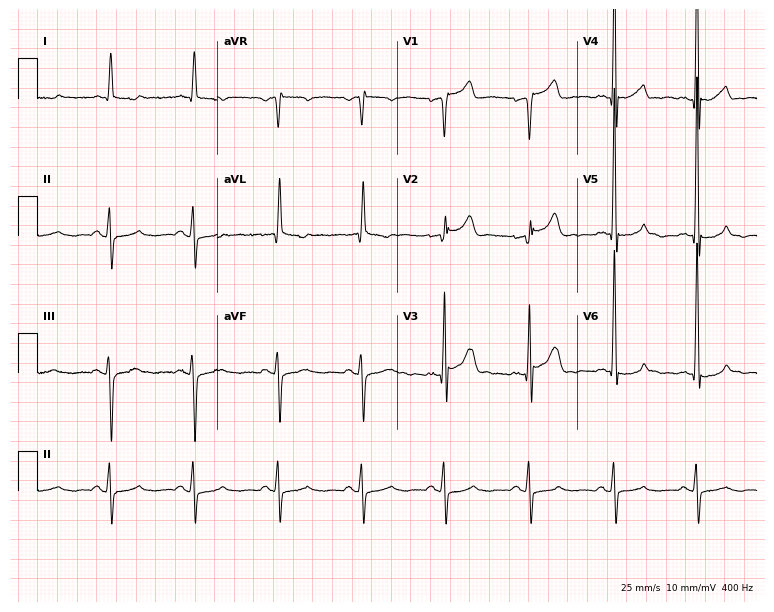
ECG (7.3-second recording at 400 Hz) — a male, 54 years old. Screened for six findings — first-degree AV block, right bundle branch block (RBBB), left bundle branch block (LBBB), sinus bradycardia, atrial fibrillation (AF), sinus tachycardia — none is recorded. Other findings, if any, are not listed.